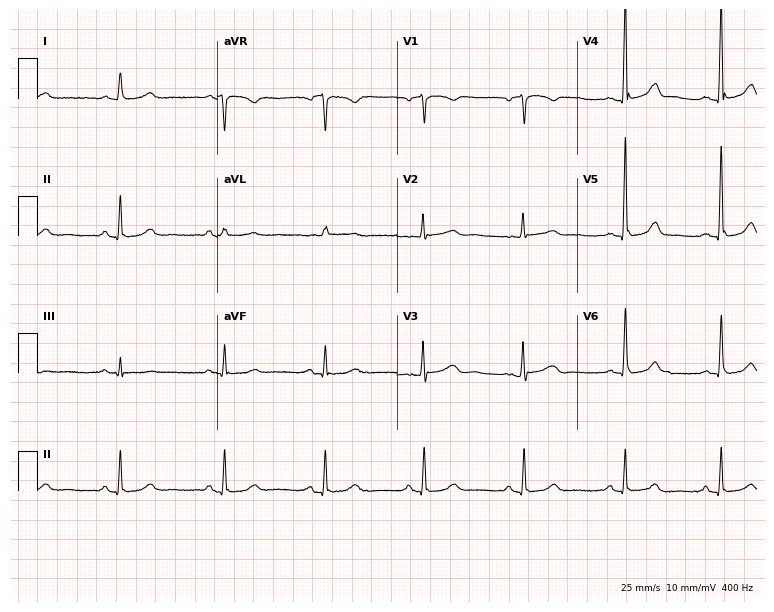
12-lead ECG from a woman, 70 years old. Labelled as a normal ECG.